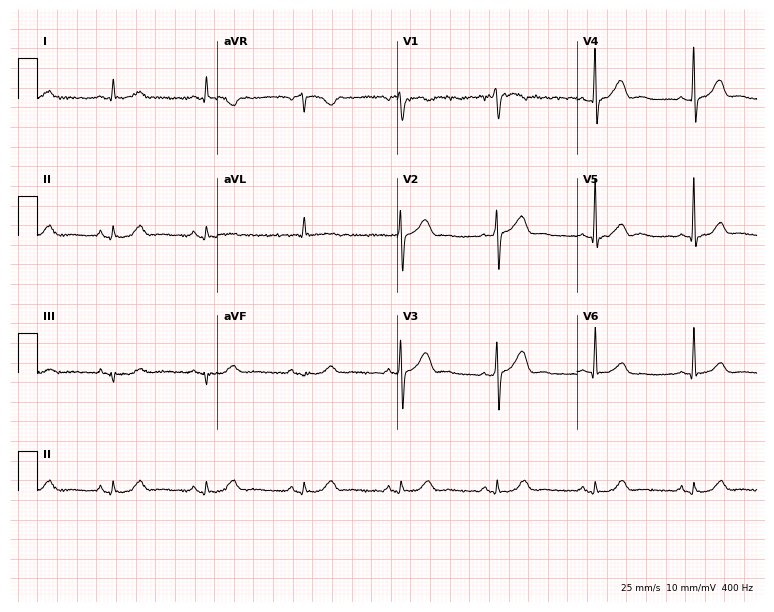
ECG — a 60-year-old man. Screened for six findings — first-degree AV block, right bundle branch block, left bundle branch block, sinus bradycardia, atrial fibrillation, sinus tachycardia — none is recorded.